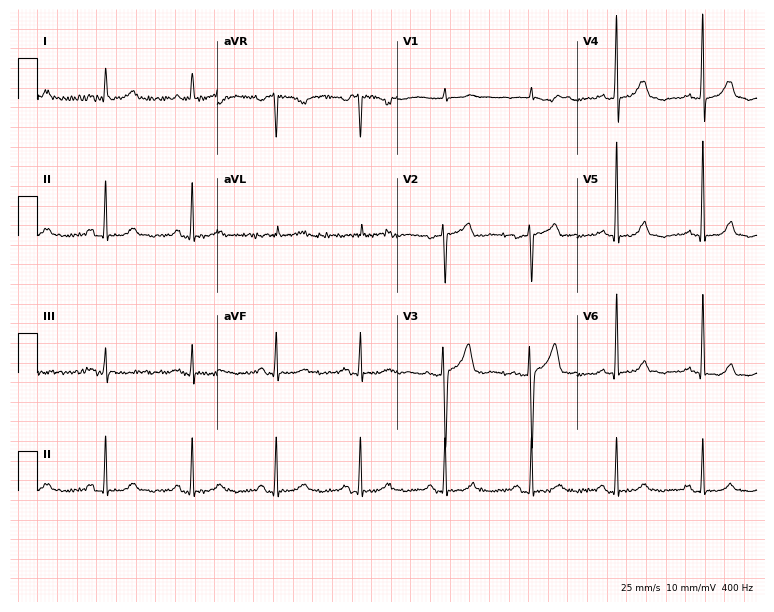
Electrocardiogram (7.3-second recording at 400 Hz), a 59-year-old male. Overall reading on record: normal ECG.